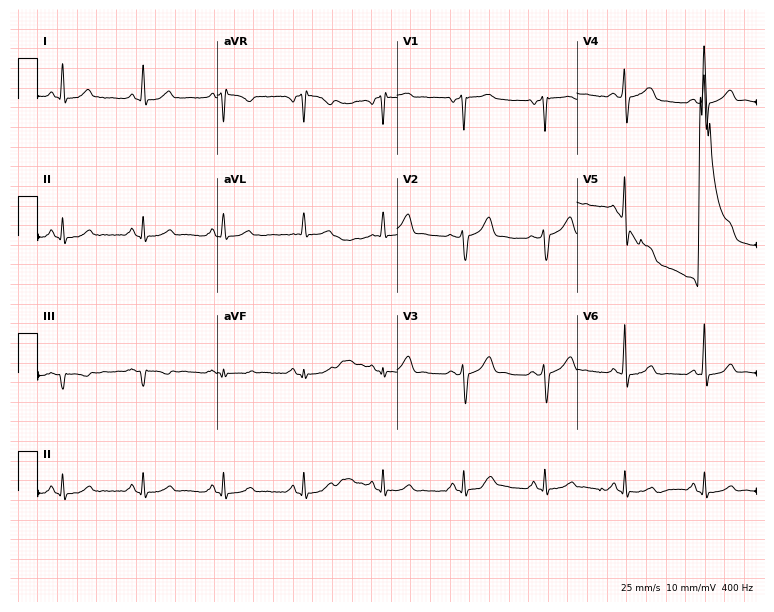
Resting 12-lead electrocardiogram. Patient: a 65-year-old man. None of these six findings is recorded: first-degree AV block, right bundle branch block, left bundle branch block, sinus bradycardia, atrial fibrillation, sinus tachycardia. Findings outside these six are not listed.